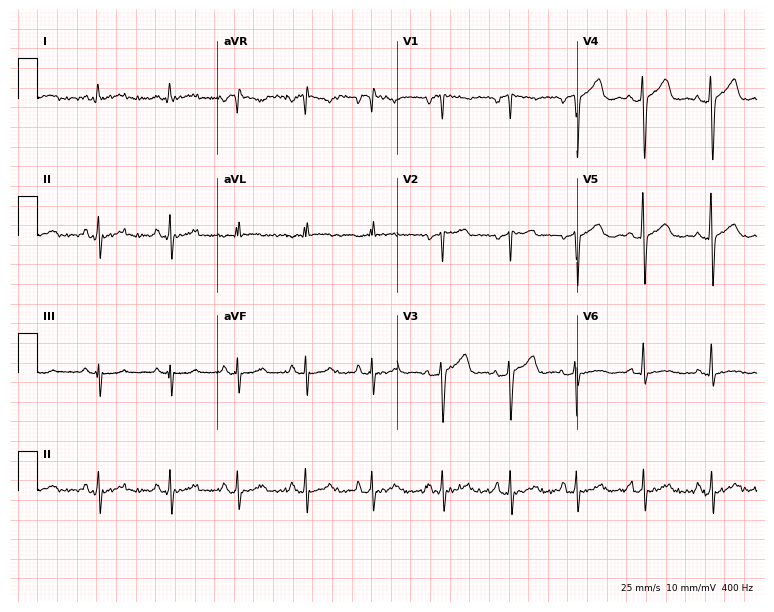
12-lead ECG from a 71-year-old female patient. No first-degree AV block, right bundle branch block (RBBB), left bundle branch block (LBBB), sinus bradycardia, atrial fibrillation (AF) or sinus tachycardia recorded for this tracing.